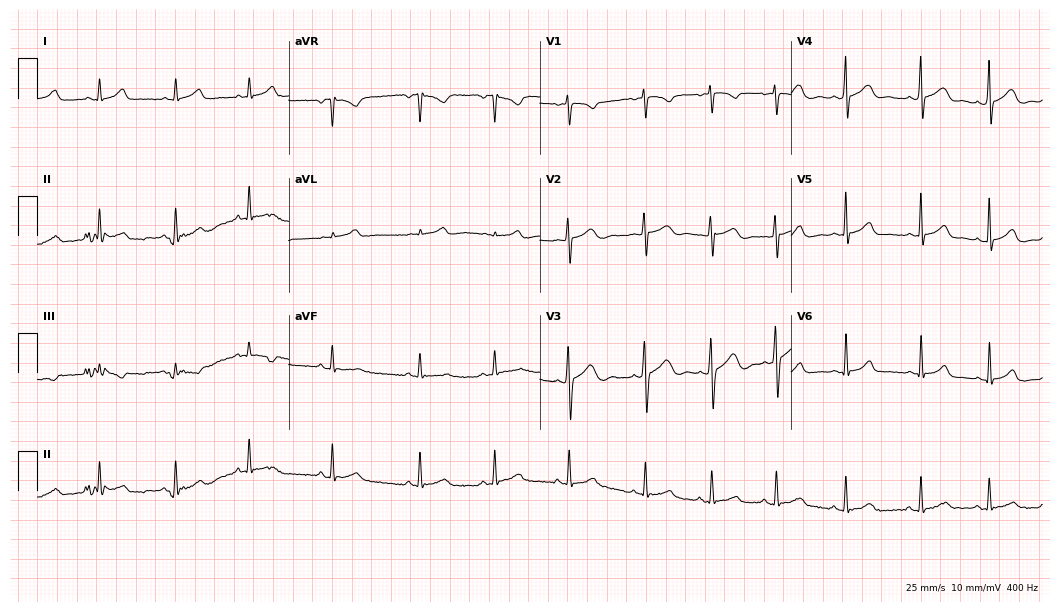
ECG — a 23-year-old woman. Labelled as a normal ECG.